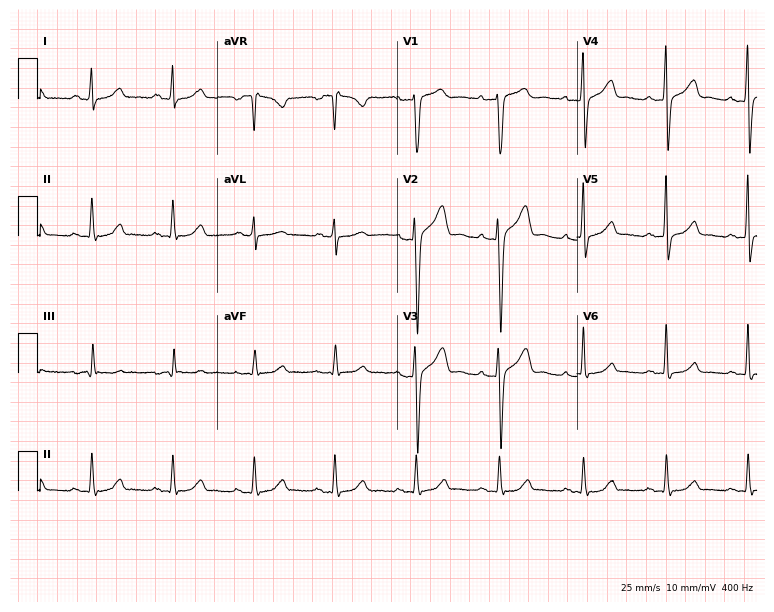
12-lead ECG (7.3-second recording at 400 Hz) from a 39-year-old male. Screened for six findings — first-degree AV block, right bundle branch block, left bundle branch block, sinus bradycardia, atrial fibrillation, sinus tachycardia — none is recorded.